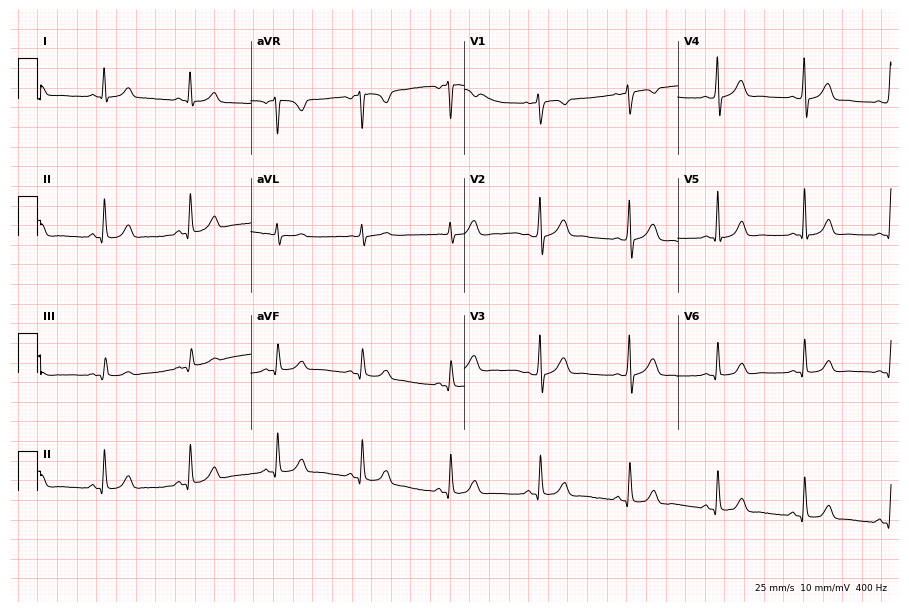
Standard 12-lead ECG recorded from a female, 31 years old. None of these six findings is recorded: first-degree AV block, right bundle branch block (RBBB), left bundle branch block (LBBB), sinus bradycardia, atrial fibrillation (AF), sinus tachycardia. Findings outside these six are not listed.